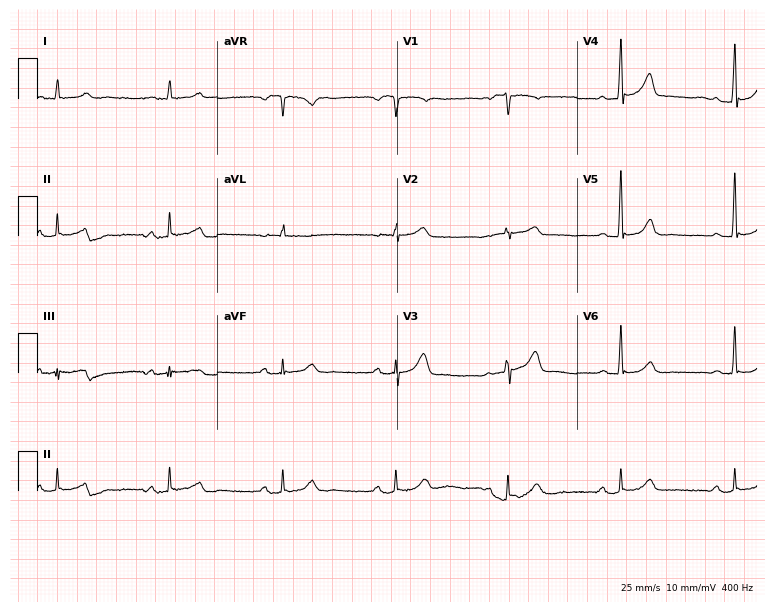
ECG (7.3-second recording at 400 Hz) — a male patient, 79 years old. Labelled as a normal ECG.